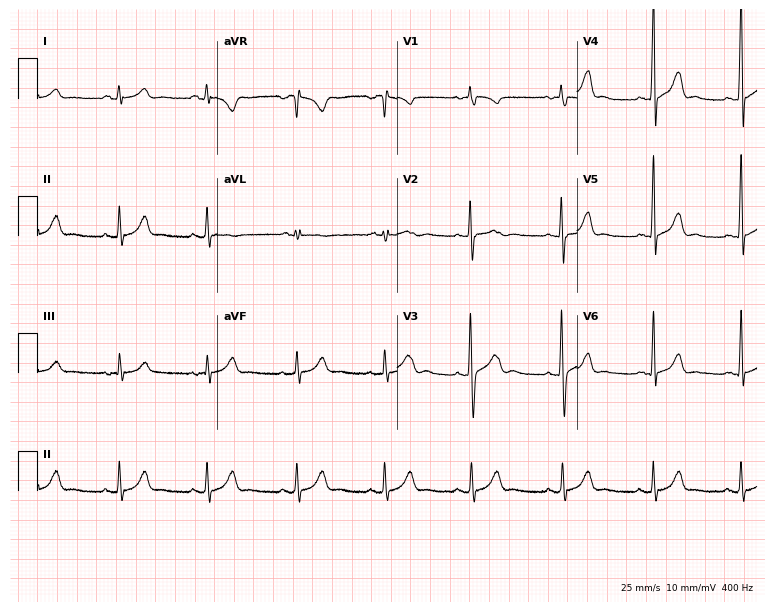
ECG — a 17-year-old man. Screened for six findings — first-degree AV block, right bundle branch block (RBBB), left bundle branch block (LBBB), sinus bradycardia, atrial fibrillation (AF), sinus tachycardia — none is recorded.